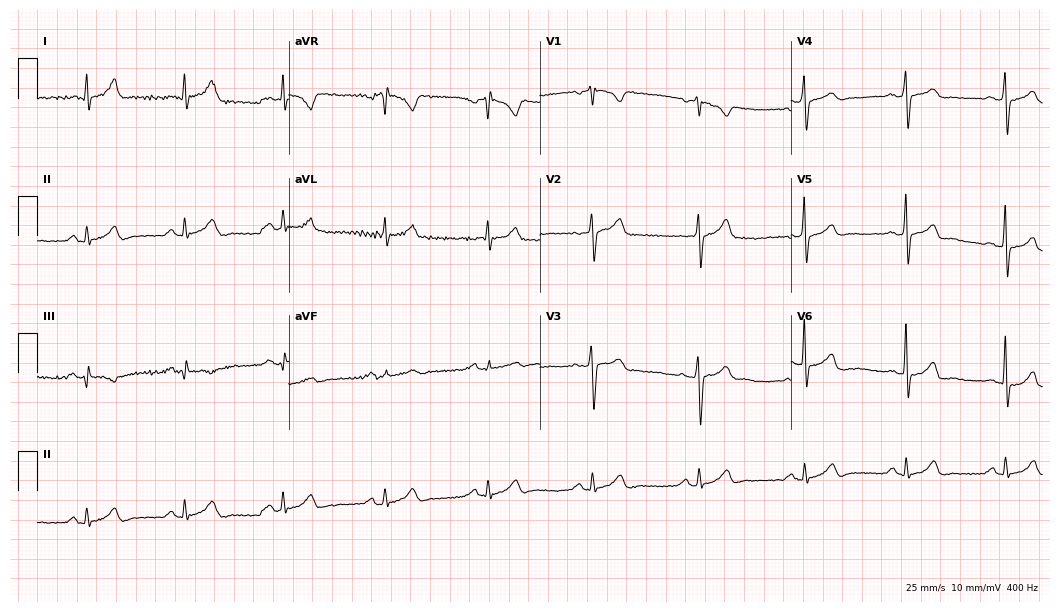
12-lead ECG from a 48-year-old man. No first-degree AV block, right bundle branch block (RBBB), left bundle branch block (LBBB), sinus bradycardia, atrial fibrillation (AF) or sinus tachycardia recorded for this tracing. Other findings, if any, are not listed.